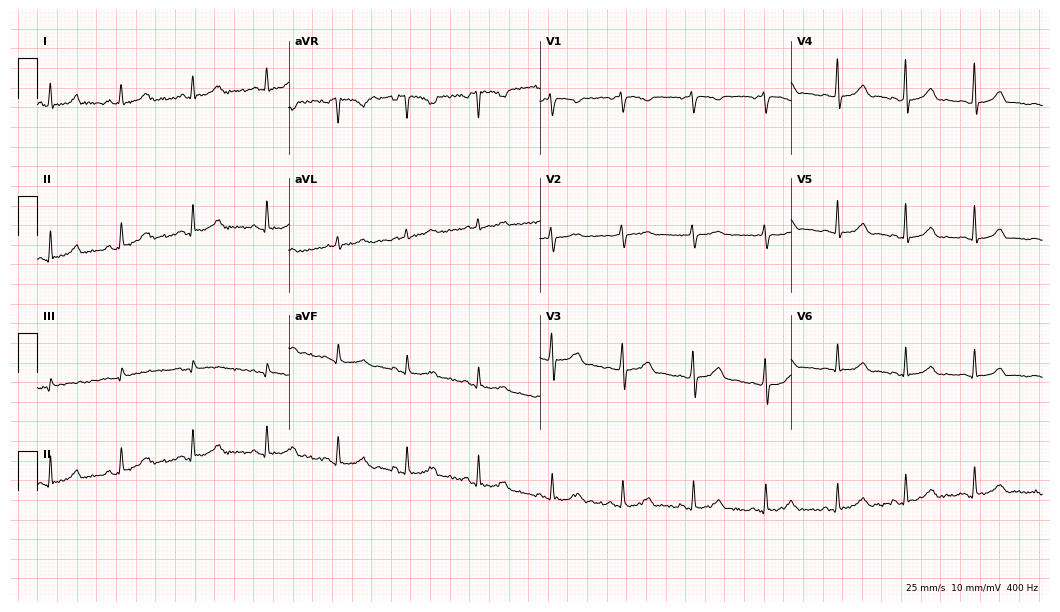
Standard 12-lead ECG recorded from a 36-year-old female (10.2-second recording at 400 Hz). Read as a normal ECG.